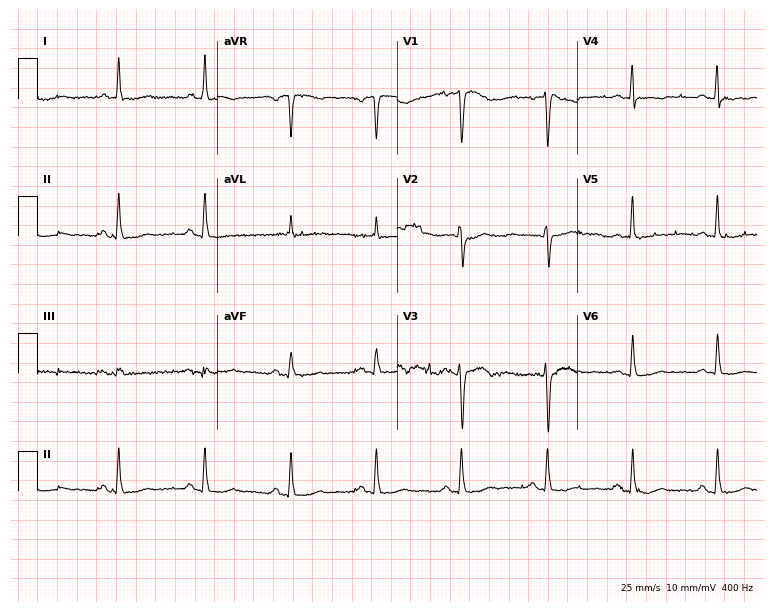
12-lead ECG from a female patient, 52 years old. No first-degree AV block, right bundle branch block (RBBB), left bundle branch block (LBBB), sinus bradycardia, atrial fibrillation (AF) or sinus tachycardia recorded for this tracing. Findings outside these six are not listed.